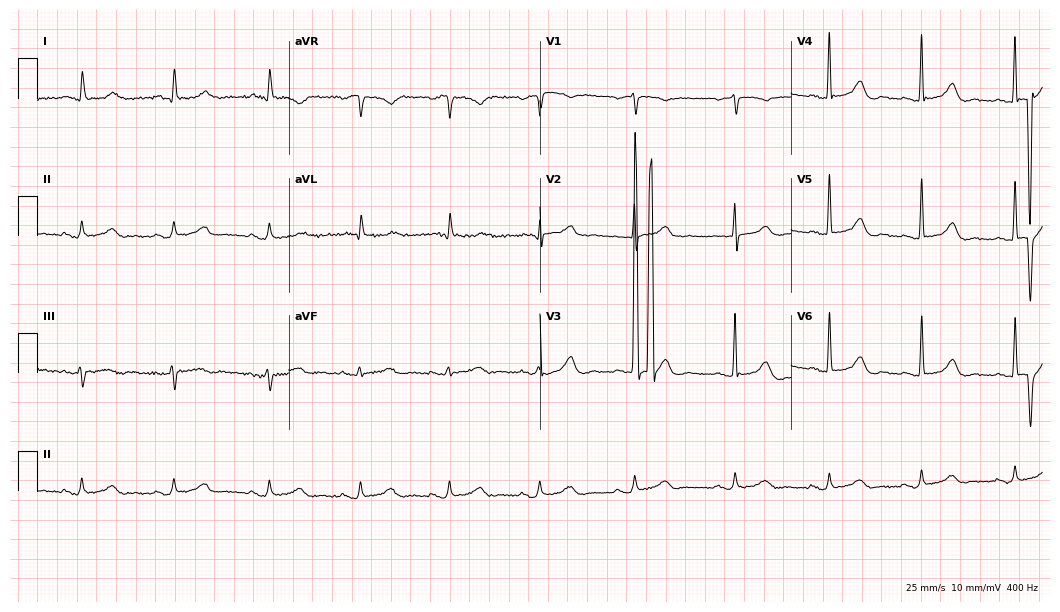
Electrocardiogram, a female patient, 81 years old. Of the six screened findings (first-degree AV block, right bundle branch block, left bundle branch block, sinus bradycardia, atrial fibrillation, sinus tachycardia), none is recorded. Only these six findings were labelled.